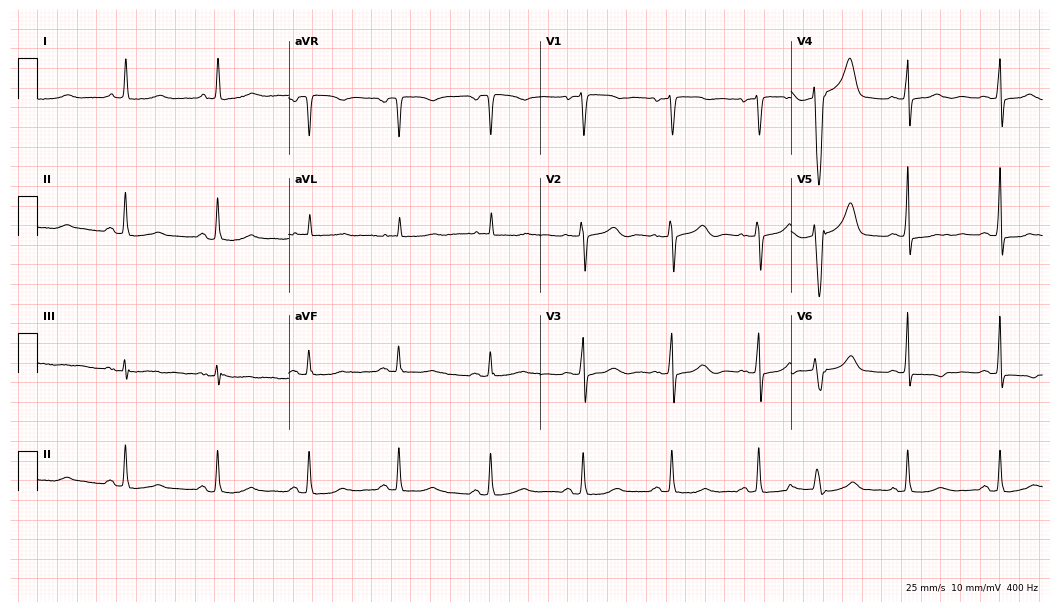
12-lead ECG from a 74-year-old female. No first-degree AV block, right bundle branch block, left bundle branch block, sinus bradycardia, atrial fibrillation or sinus tachycardia recorded for this tracing. Findings outside these six are not listed.